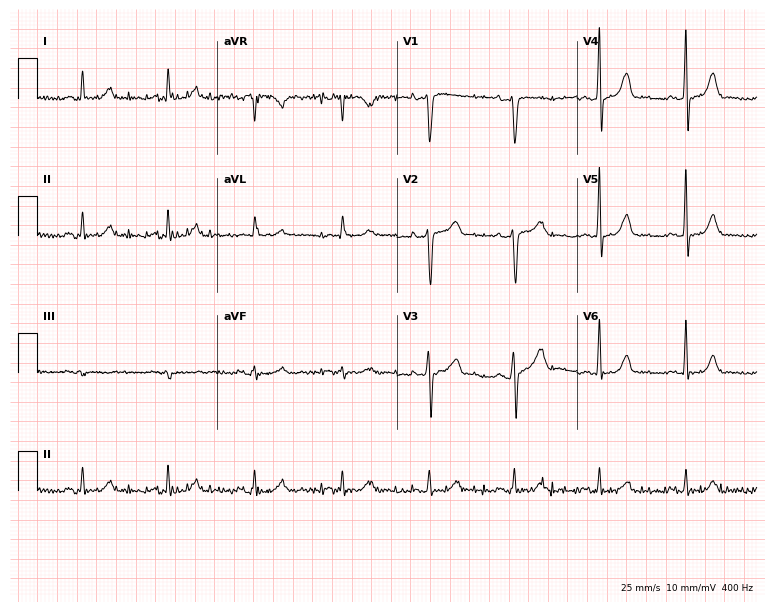
Standard 12-lead ECG recorded from a man, 52 years old (7.3-second recording at 400 Hz). Read as a normal ECG.